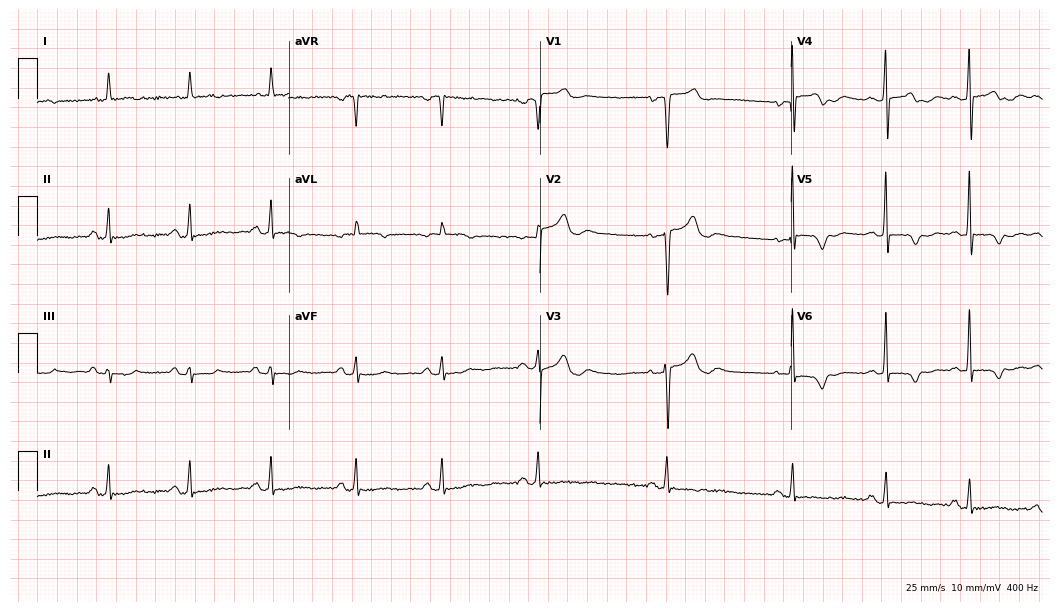
12-lead ECG from a female, 77 years old (10.2-second recording at 400 Hz). No first-degree AV block, right bundle branch block (RBBB), left bundle branch block (LBBB), sinus bradycardia, atrial fibrillation (AF) or sinus tachycardia recorded for this tracing.